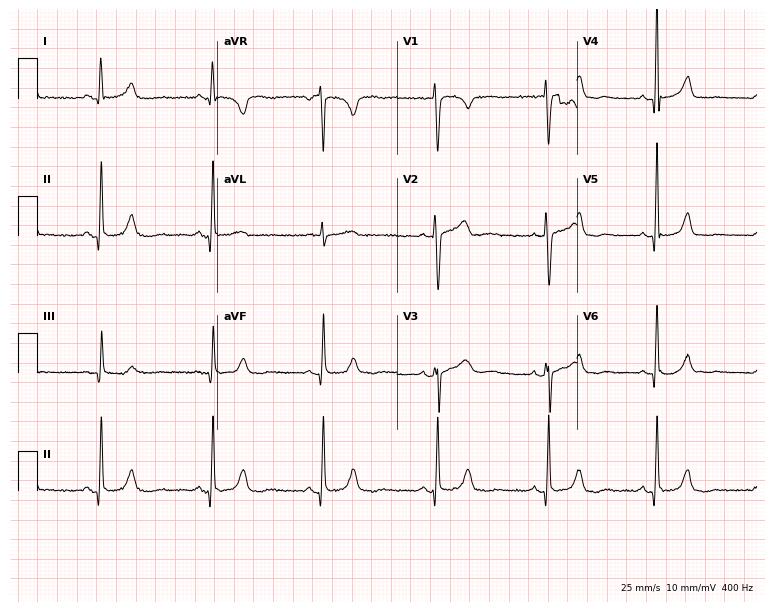
12-lead ECG (7.3-second recording at 400 Hz) from a 44-year-old female. Labelled as a normal ECG.